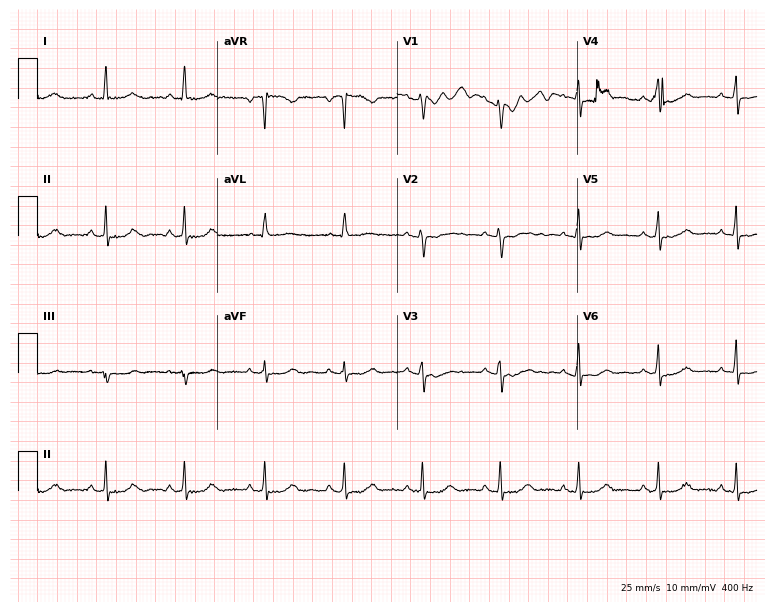
Standard 12-lead ECG recorded from a 69-year-old female. Read as a normal ECG.